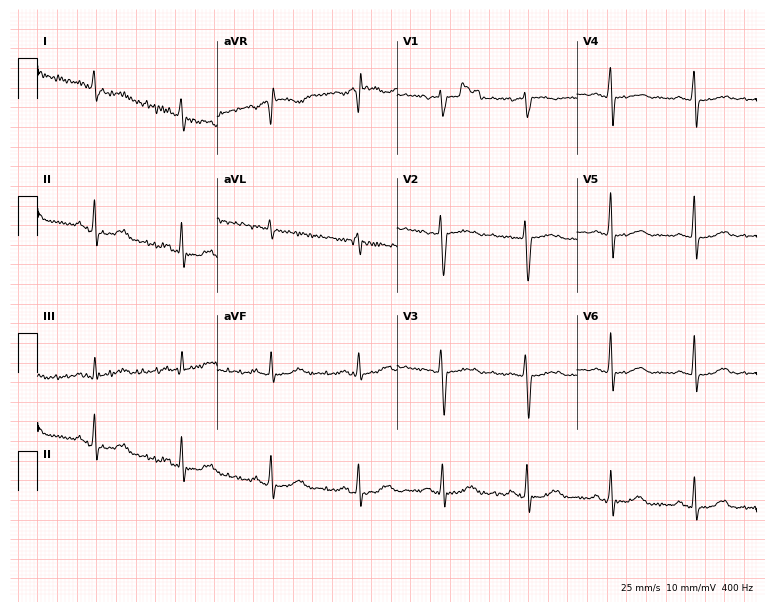
12-lead ECG from a female, 40 years old. No first-degree AV block, right bundle branch block, left bundle branch block, sinus bradycardia, atrial fibrillation or sinus tachycardia recorded for this tracing.